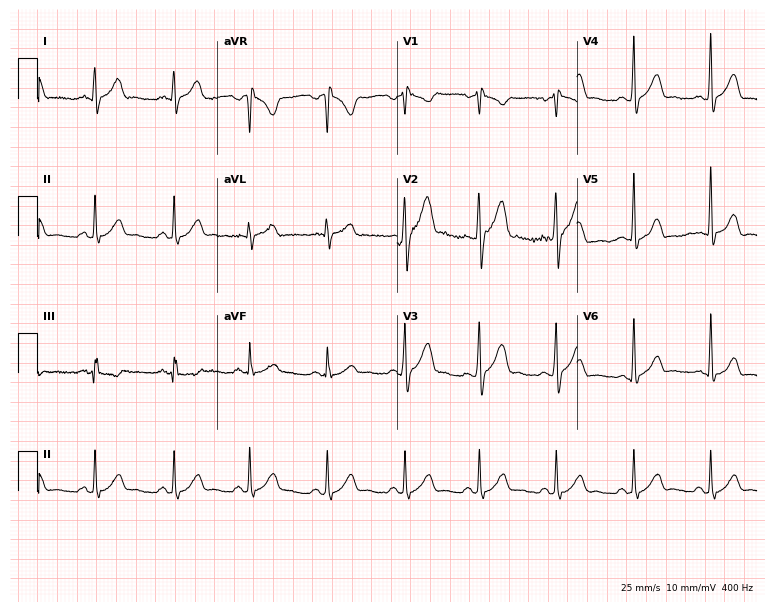
12-lead ECG from a male, 26 years old. Recorded interpretation: within normal limits.